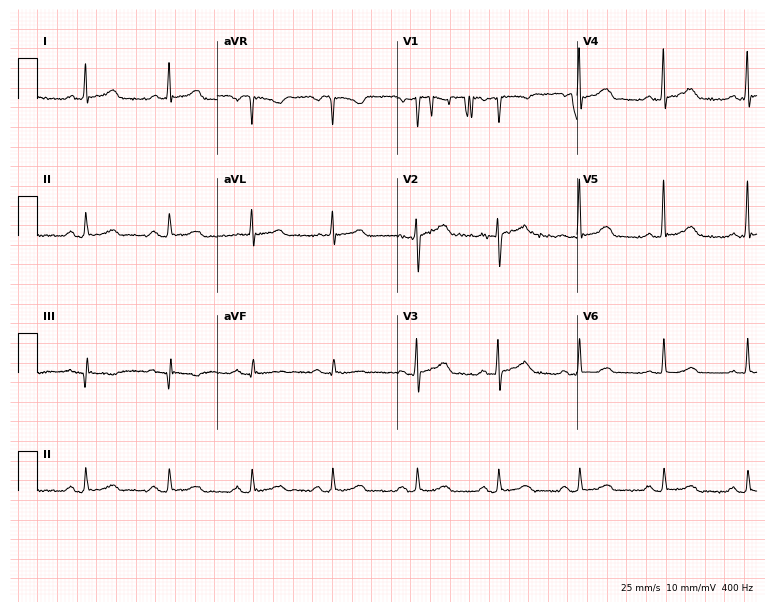
Standard 12-lead ECG recorded from a male, 55 years old (7.3-second recording at 400 Hz). Read as a normal ECG.